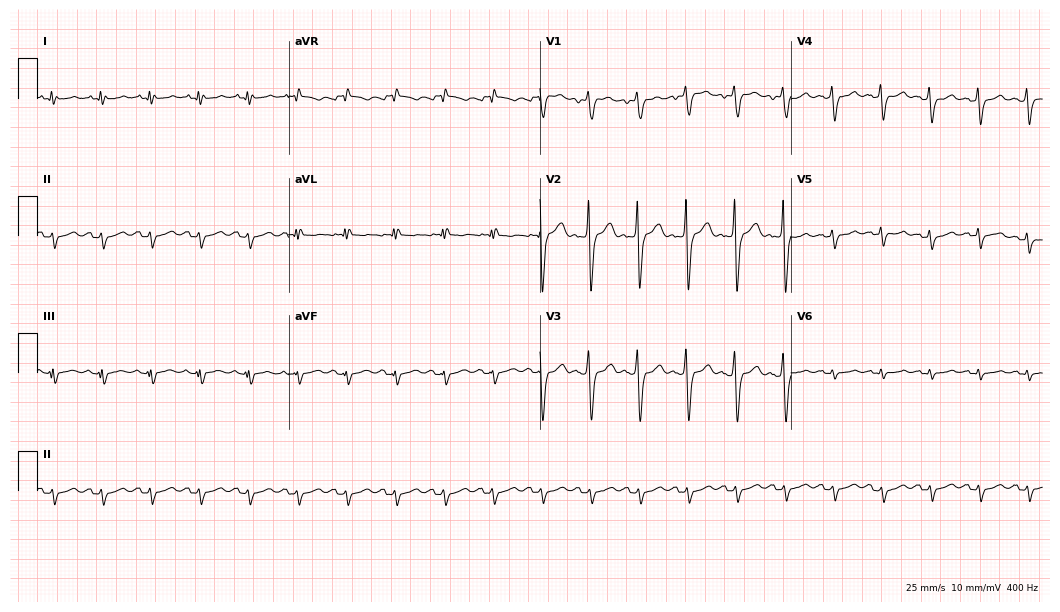
12-lead ECG from a man, 58 years old. No first-degree AV block, right bundle branch block (RBBB), left bundle branch block (LBBB), sinus bradycardia, atrial fibrillation (AF) or sinus tachycardia recorded for this tracing.